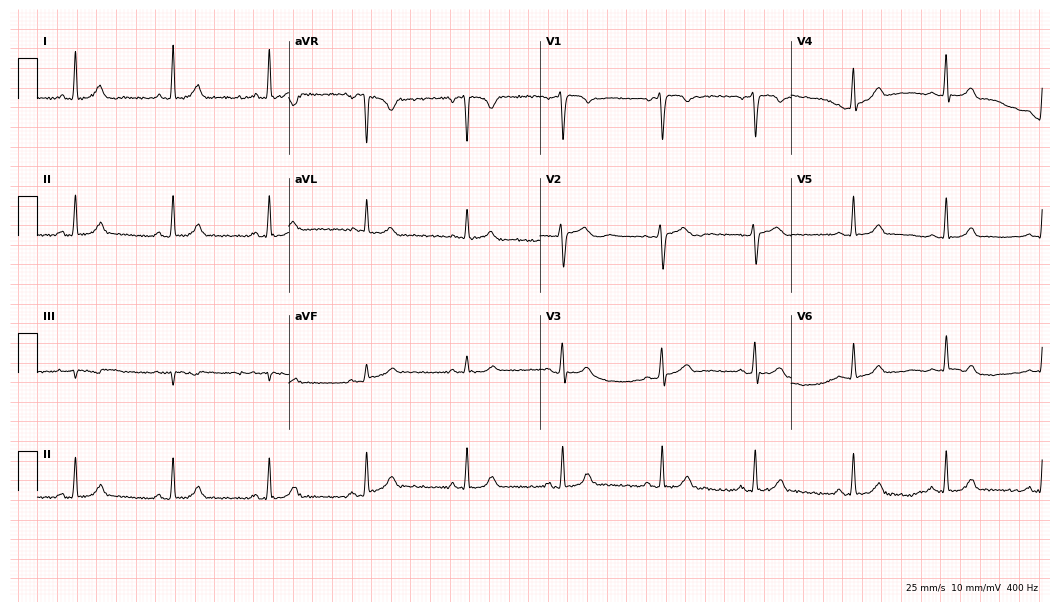
ECG (10.2-second recording at 400 Hz) — a 25-year-old female. Labelled as a normal ECG.